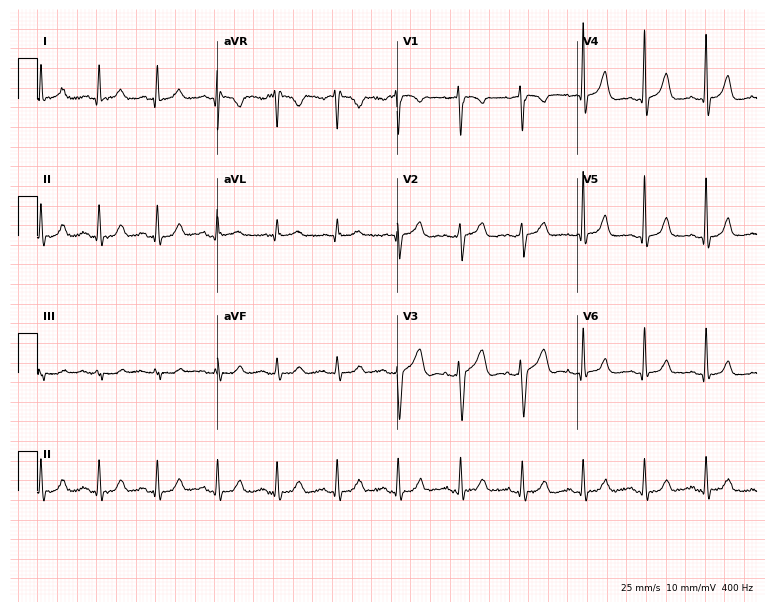
Standard 12-lead ECG recorded from a 28-year-old woman. None of these six findings is recorded: first-degree AV block, right bundle branch block, left bundle branch block, sinus bradycardia, atrial fibrillation, sinus tachycardia.